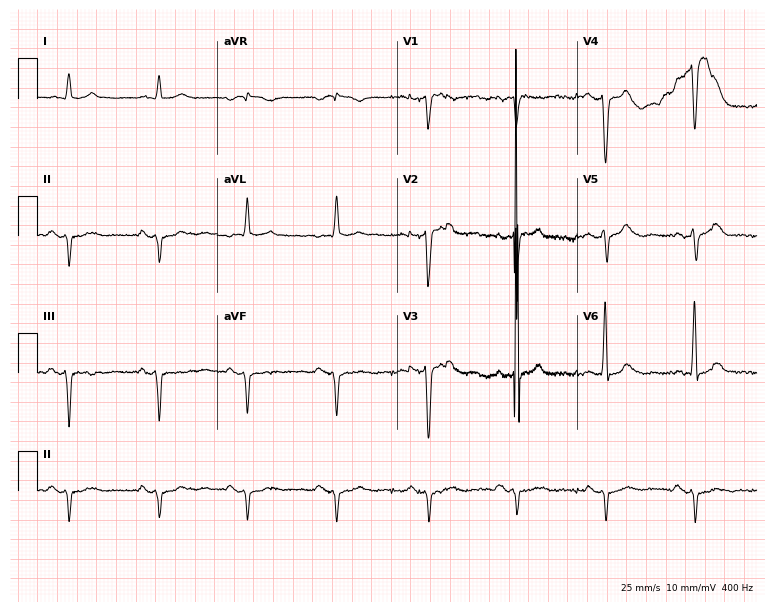
12-lead ECG from an 80-year-old male. Screened for six findings — first-degree AV block, right bundle branch block, left bundle branch block, sinus bradycardia, atrial fibrillation, sinus tachycardia — none is recorded. Only these six findings were labelled.